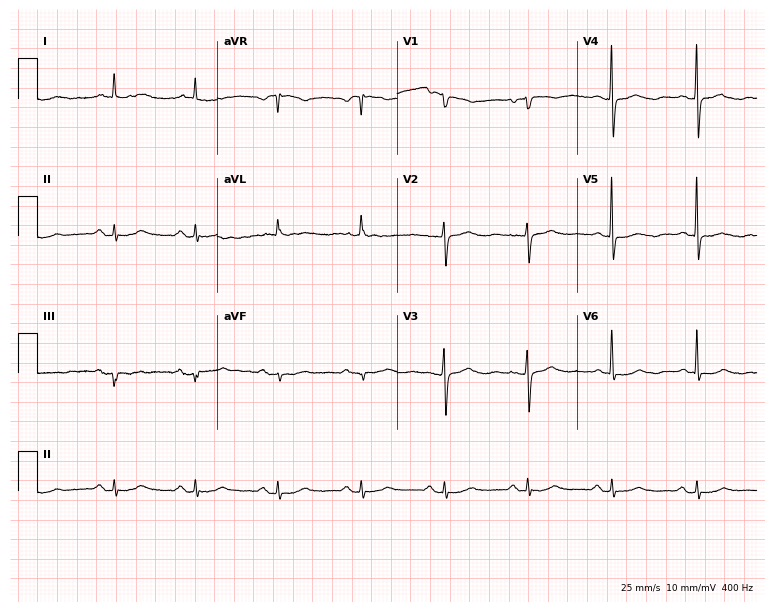
Standard 12-lead ECG recorded from an 83-year-old woman. None of these six findings is recorded: first-degree AV block, right bundle branch block (RBBB), left bundle branch block (LBBB), sinus bradycardia, atrial fibrillation (AF), sinus tachycardia.